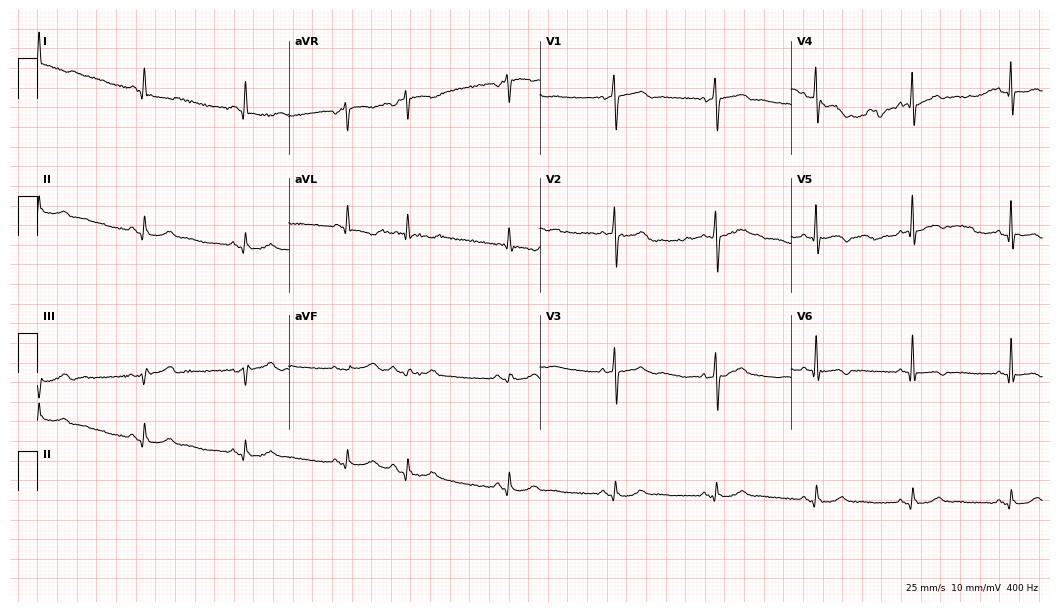
ECG — a male, 76 years old. Screened for six findings — first-degree AV block, right bundle branch block, left bundle branch block, sinus bradycardia, atrial fibrillation, sinus tachycardia — none is recorded. Findings outside these six are not listed.